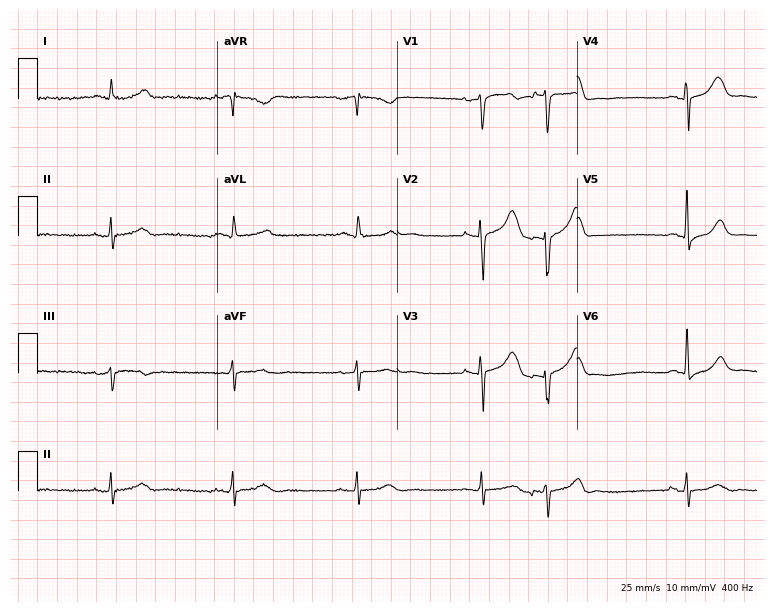
Resting 12-lead electrocardiogram. Patient: a 67-year-old man. None of these six findings is recorded: first-degree AV block, right bundle branch block (RBBB), left bundle branch block (LBBB), sinus bradycardia, atrial fibrillation (AF), sinus tachycardia. Other findings, if any, are not listed.